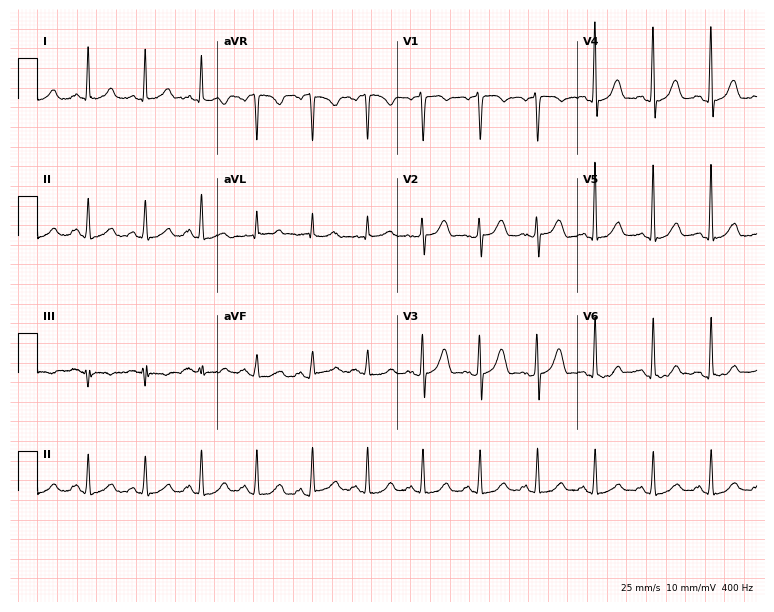
Electrocardiogram (7.3-second recording at 400 Hz), a female, 31 years old. Interpretation includes sinus tachycardia (a sinus rate of 100 beats per minute or more).